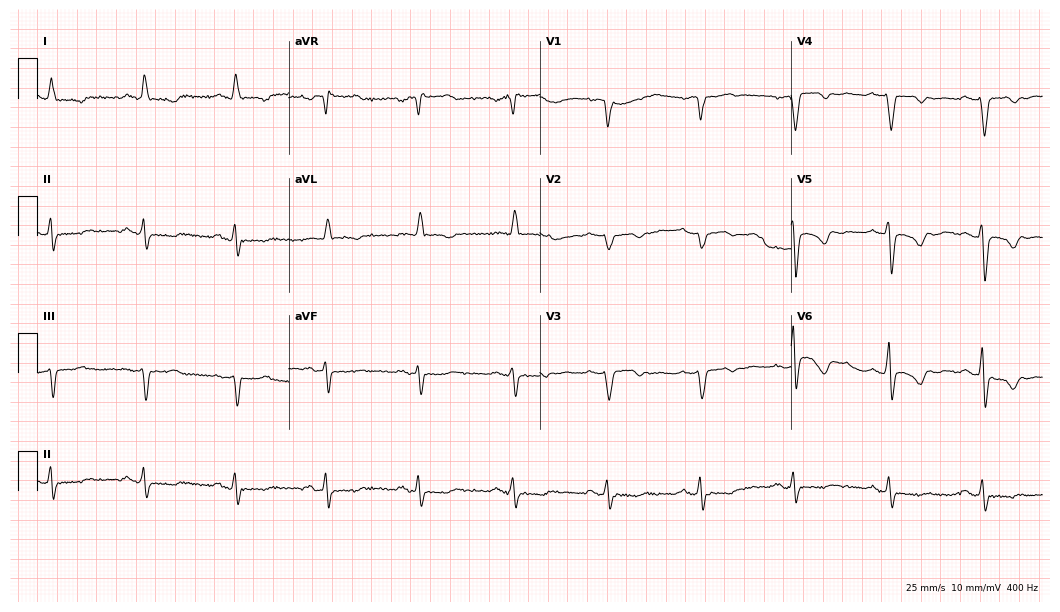
ECG — a 72-year-old woman. Screened for six findings — first-degree AV block, right bundle branch block, left bundle branch block, sinus bradycardia, atrial fibrillation, sinus tachycardia — none is recorded.